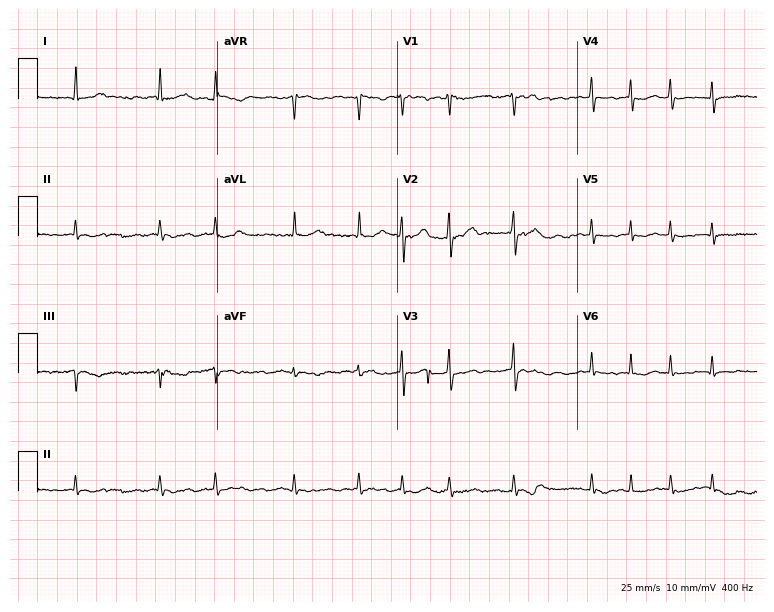
12-lead ECG (7.3-second recording at 400 Hz) from a female patient, 66 years old. Findings include atrial fibrillation.